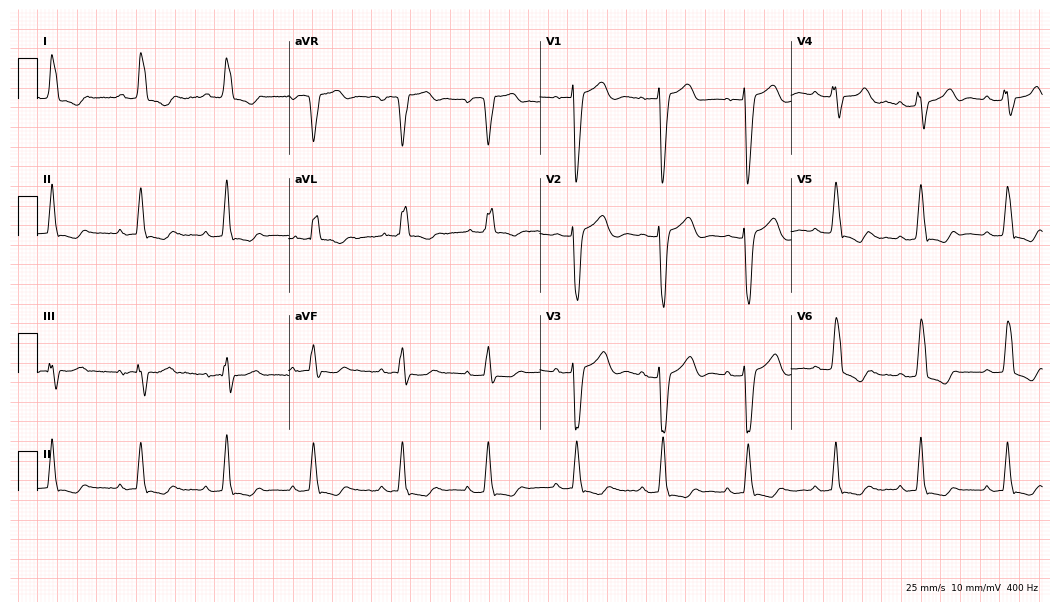
Standard 12-lead ECG recorded from a female patient, 85 years old. The tracing shows left bundle branch block.